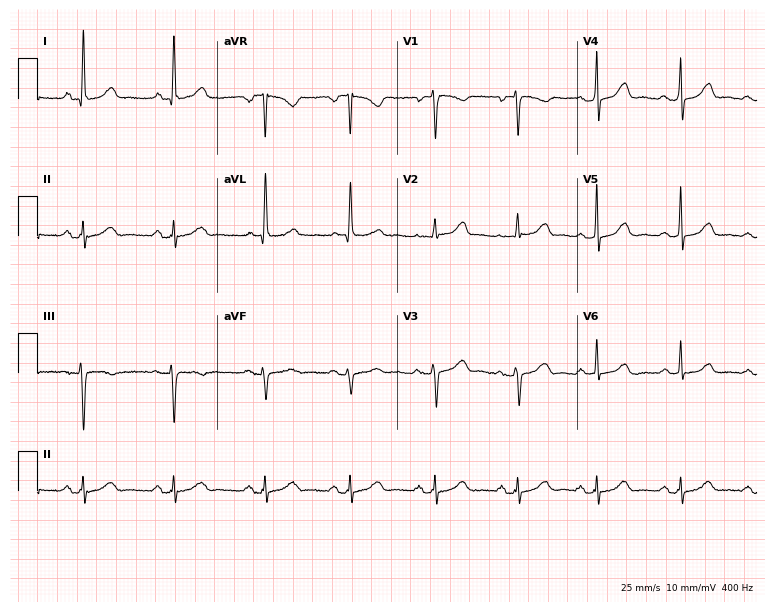
12-lead ECG from a 44-year-old female patient (7.3-second recording at 400 Hz). No first-degree AV block, right bundle branch block (RBBB), left bundle branch block (LBBB), sinus bradycardia, atrial fibrillation (AF) or sinus tachycardia recorded for this tracing. Other findings, if any, are not listed.